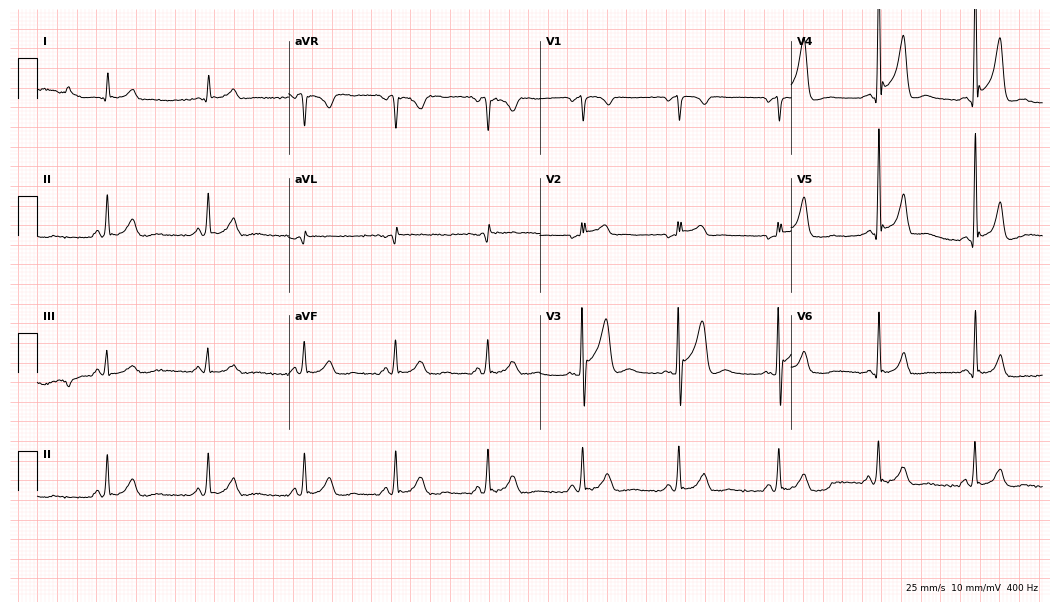
12-lead ECG (10.2-second recording at 400 Hz) from a 48-year-old man. Screened for six findings — first-degree AV block, right bundle branch block, left bundle branch block, sinus bradycardia, atrial fibrillation, sinus tachycardia — none is recorded.